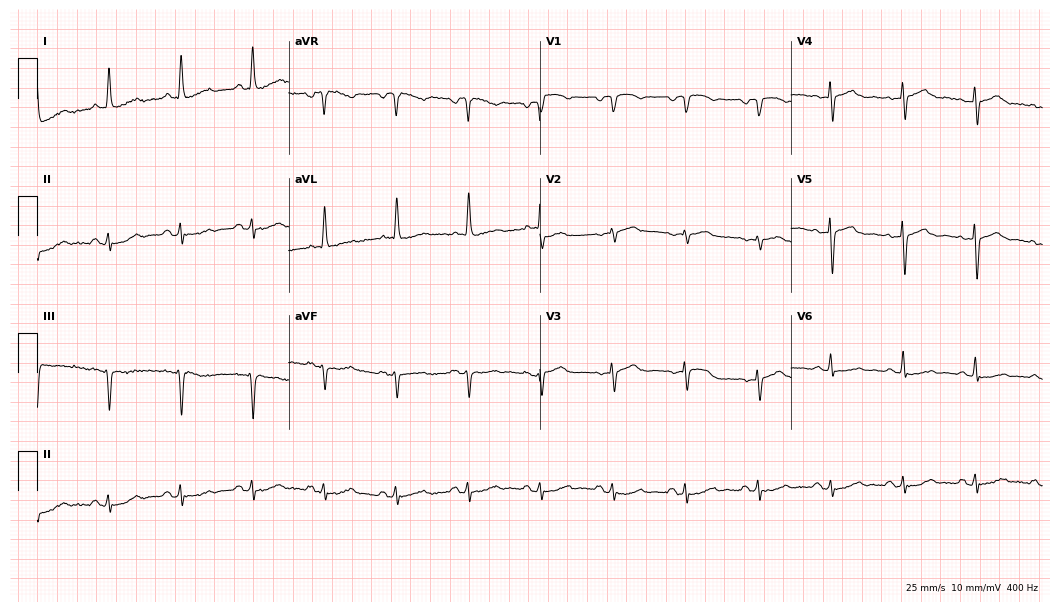
12-lead ECG from an 84-year-old woman (10.2-second recording at 400 Hz). No first-degree AV block, right bundle branch block (RBBB), left bundle branch block (LBBB), sinus bradycardia, atrial fibrillation (AF) or sinus tachycardia recorded for this tracing.